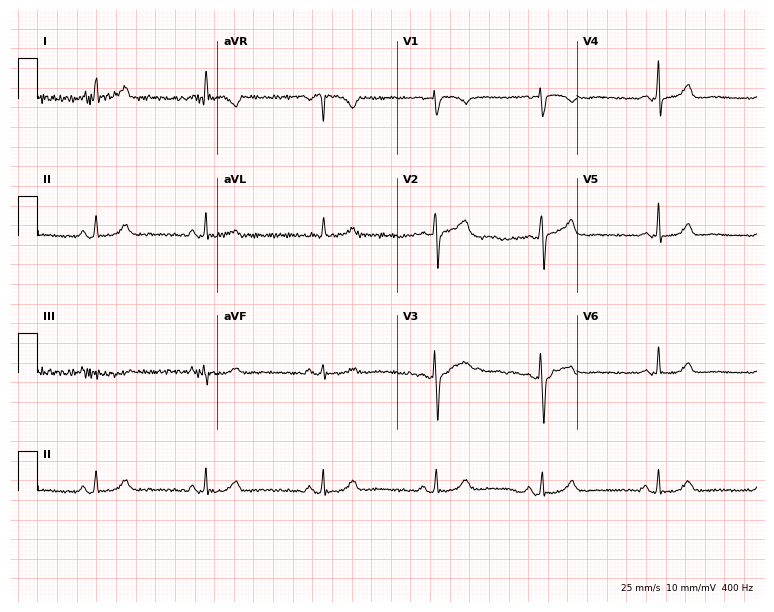
Resting 12-lead electrocardiogram (7.3-second recording at 400 Hz). Patient: a female, 46 years old. None of these six findings is recorded: first-degree AV block, right bundle branch block (RBBB), left bundle branch block (LBBB), sinus bradycardia, atrial fibrillation (AF), sinus tachycardia. Other findings, if any, are not listed.